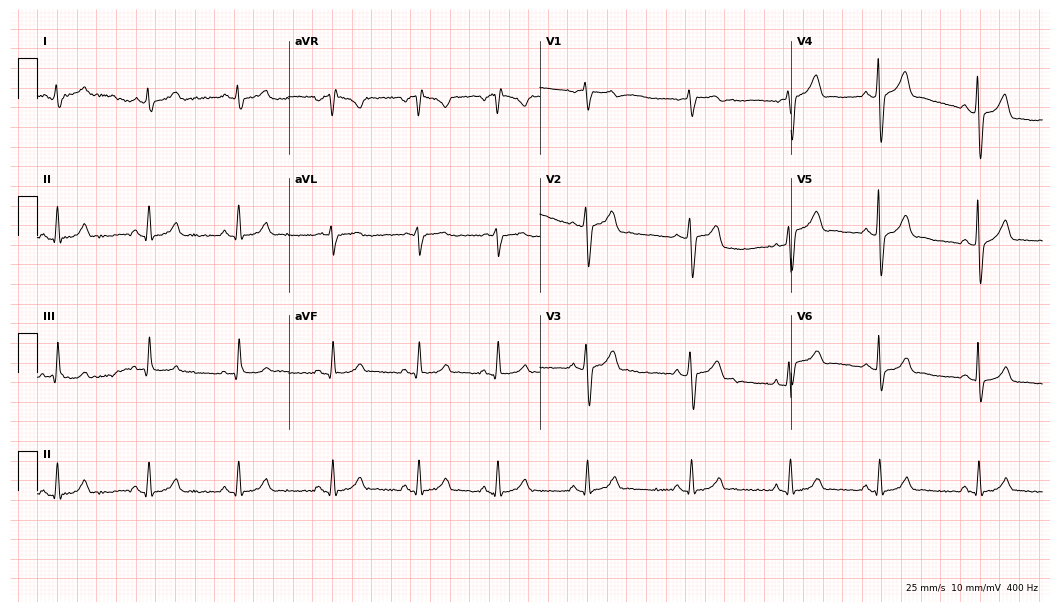
Standard 12-lead ECG recorded from a male patient, 51 years old. None of these six findings is recorded: first-degree AV block, right bundle branch block (RBBB), left bundle branch block (LBBB), sinus bradycardia, atrial fibrillation (AF), sinus tachycardia. Other findings, if any, are not listed.